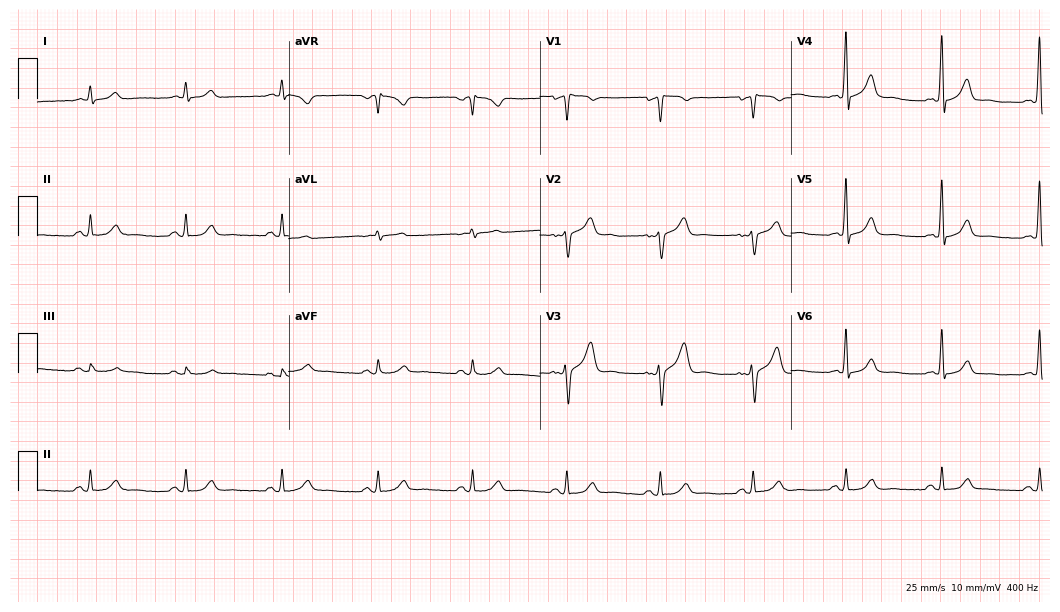
12-lead ECG from a 52-year-old male patient. No first-degree AV block, right bundle branch block (RBBB), left bundle branch block (LBBB), sinus bradycardia, atrial fibrillation (AF) or sinus tachycardia recorded for this tracing. Other findings, if any, are not listed.